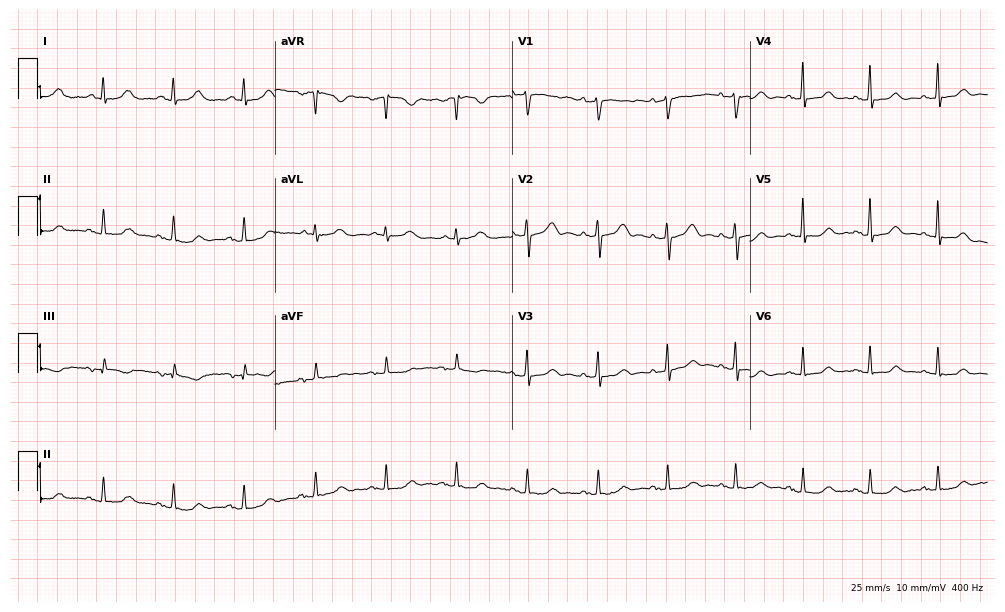
Resting 12-lead electrocardiogram (9.7-second recording at 400 Hz). Patient: a 76-year-old female. Read as a normal ECG.